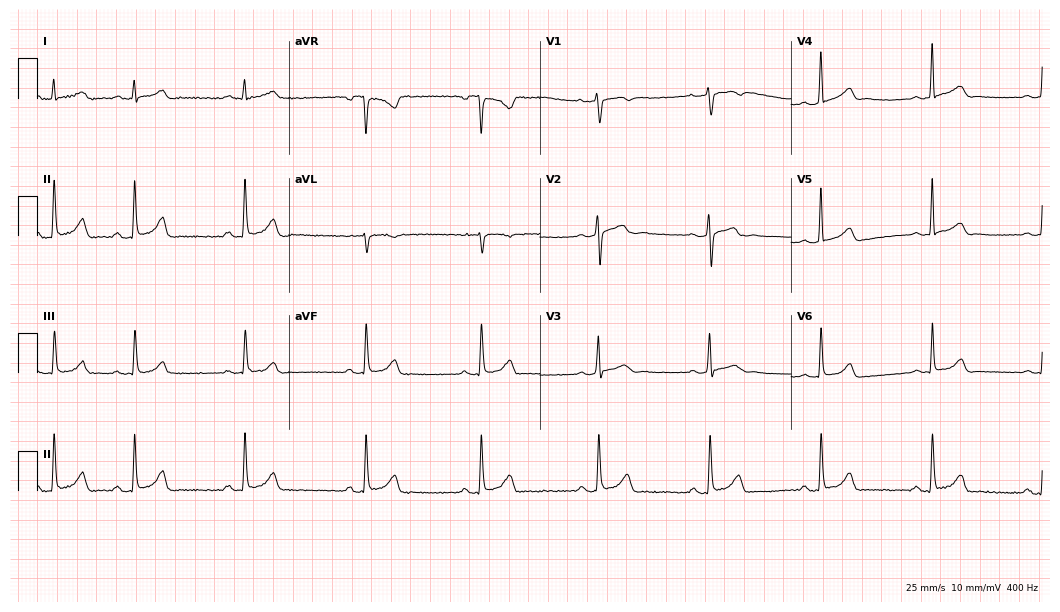
Standard 12-lead ECG recorded from a 25-year-old female. Read as a normal ECG.